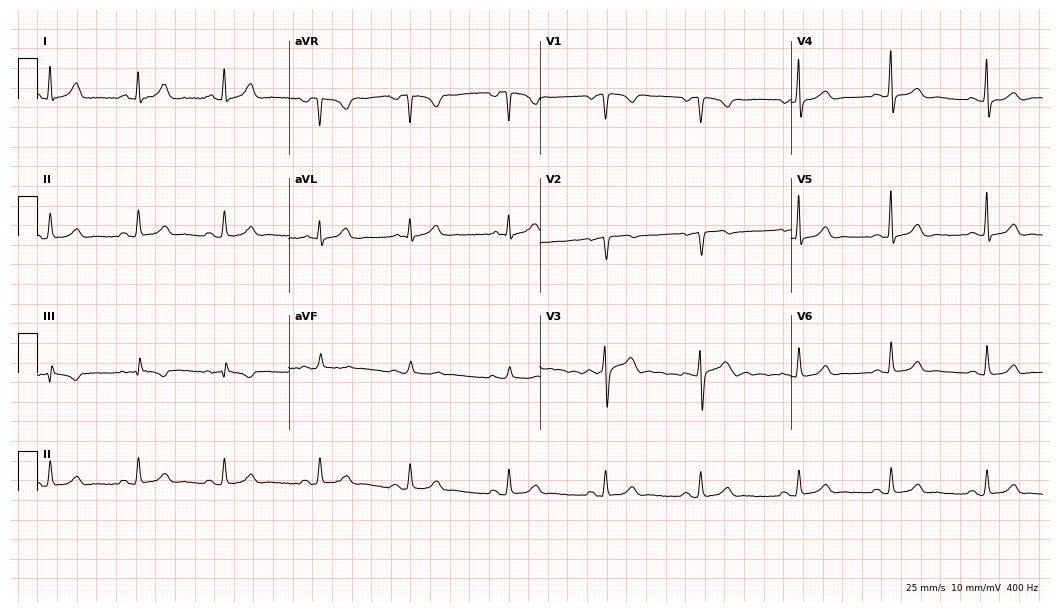
ECG (10.2-second recording at 400 Hz) — a woman, 48 years old. Labelled as a normal ECG.